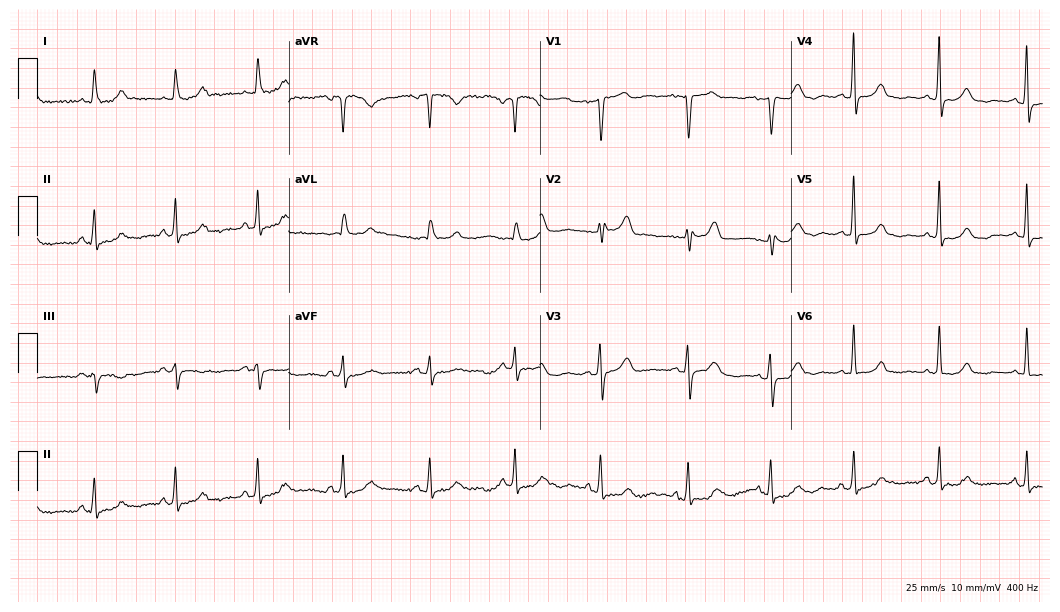
12-lead ECG from an 81-year-old woman. Recorded interpretation: within normal limits.